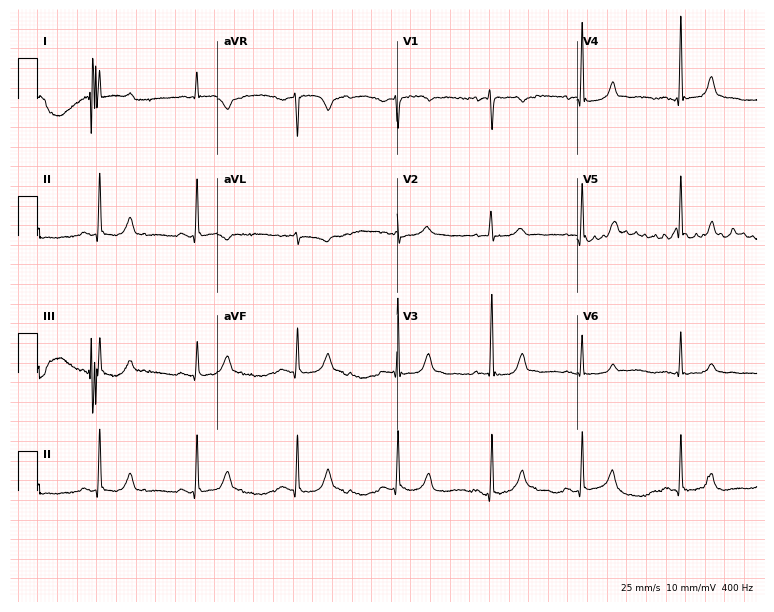
12-lead ECG from an 82-year-old female patient (7.3-second recording at 400 Hz). No first-degree AV block, right bundle branch block, left bundle branch block, sinus bradycardia, atrial fibrillation or sinus tachycardia recorded for this tracing.